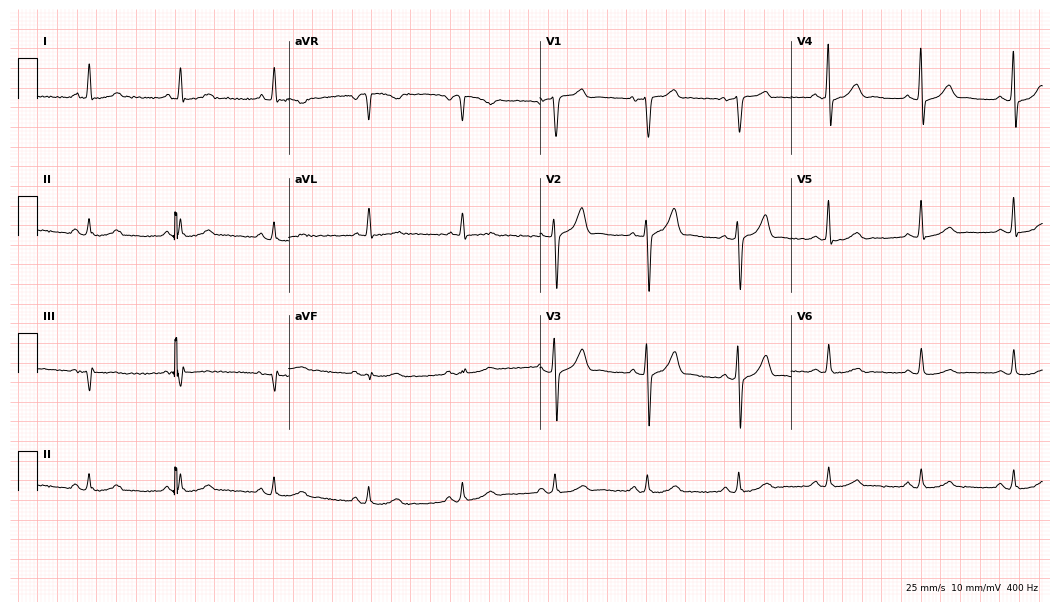
Resting 12-lead electrocardiogram. Patient: a male, 50 years old. None of these six findings is recorded: first-degree AV block, right bundle branch block, left bundle branch block, sinus bradycardia, atrial fibrillation, sinus tachycardia. Other findings, if any, are not listed.